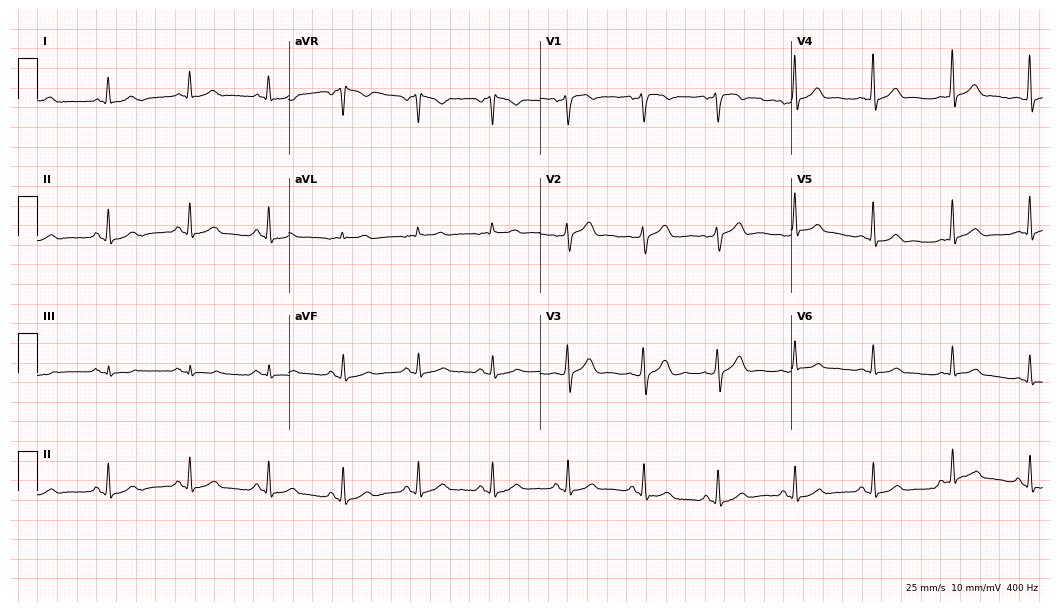
12-lead ECG from a 48-year-old man. Recorded interpretation: within normal limits.